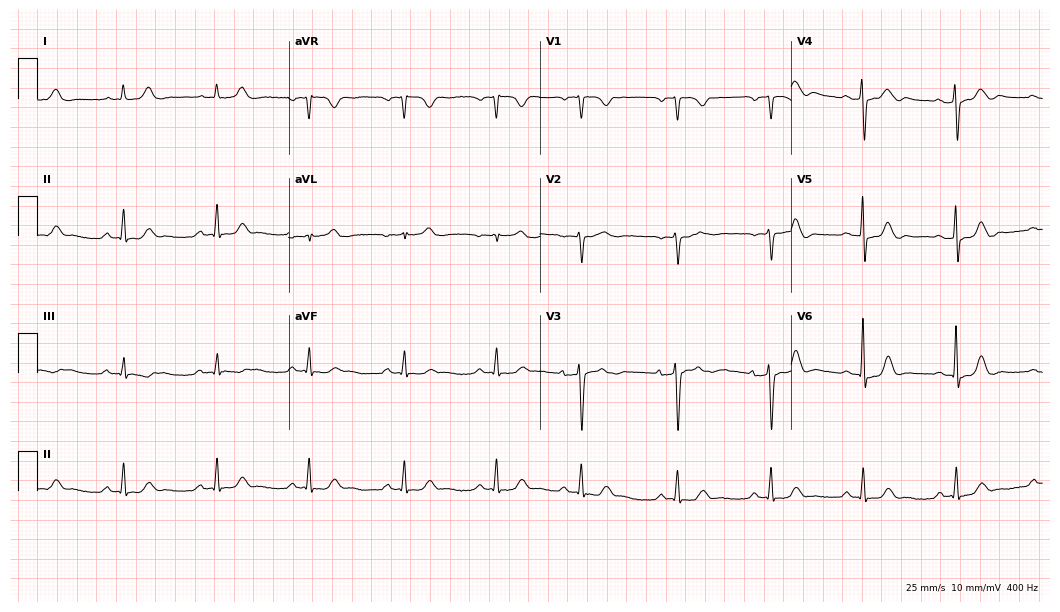
Electrocardiogram, a 72-year-old woman. Overall reading on record: normal ECG.